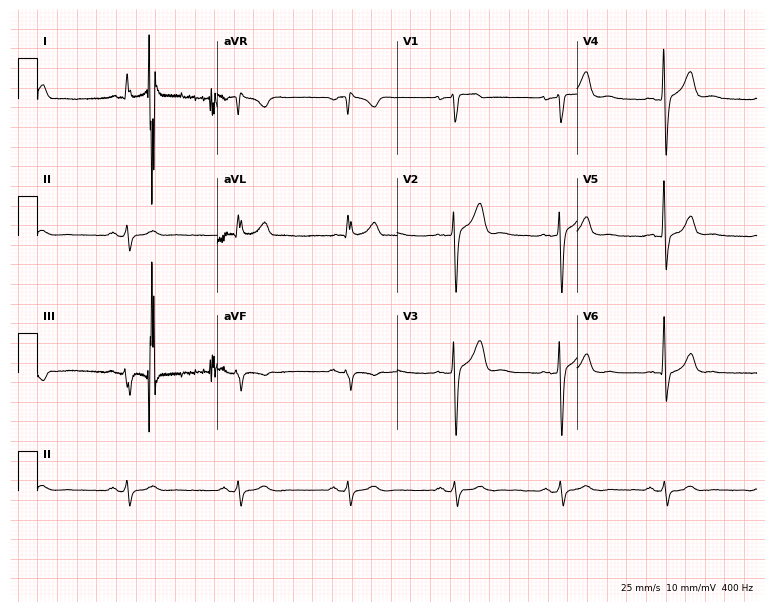
Electrocardiogram (7.3-second recording at 400 Hz), a 54-year-old male. Of the six screened findings (first-degree AV block, right bundle branch block, left bundle branch block, sinus bradycardia, atrial fibrillation, sinus tachycardia), none is recorded. Findings outside these six are not listed.